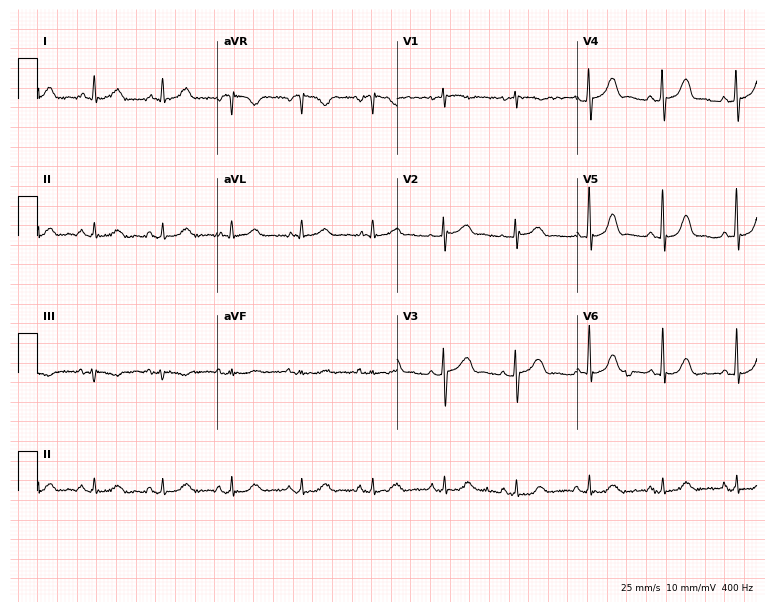
12-lead ECG from a female patient, 65 years old (7.3-second recording at 400 Hz). Recorded interpretation: within normal limits.